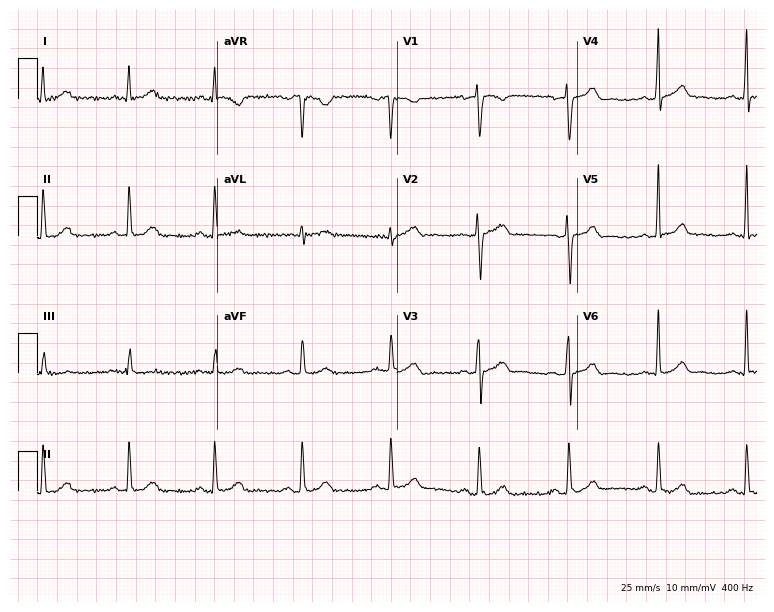
Resting 12-lead electrocardiogram (7.3-second recording at 400 Hz). Patient: a male, 49 years old. None of these six findings is recorded: first-degree AV block, right bundle branch block, left bundle branch block, sinus bradycardia, atrial fibrillation, sinus tachycardia. Other findings, if any, are not listed.